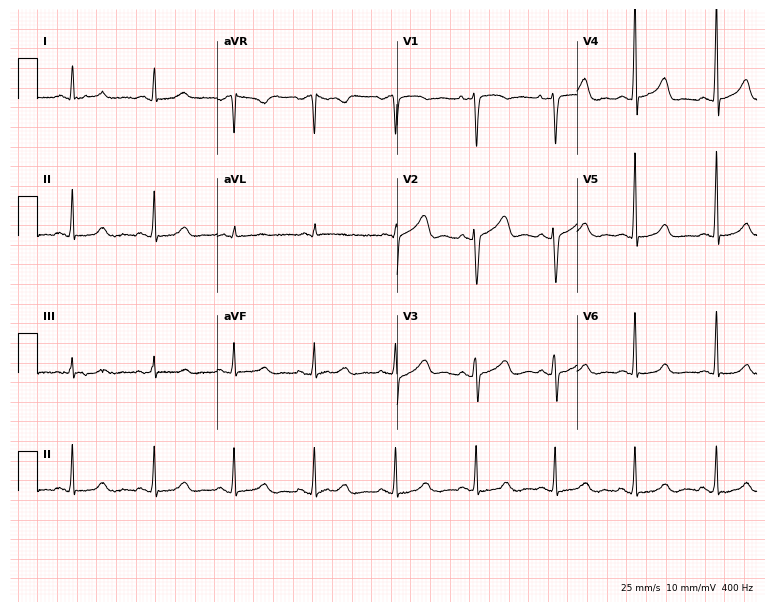
Resting 12-lead electrocardiogram. Patient: a 40-year-old female. None of these six findings is recorded: first-degree AV block, right bundle branch block, left bundle branch block, sinus bradycardia, atrial fibrillation, sinus tachycardia.